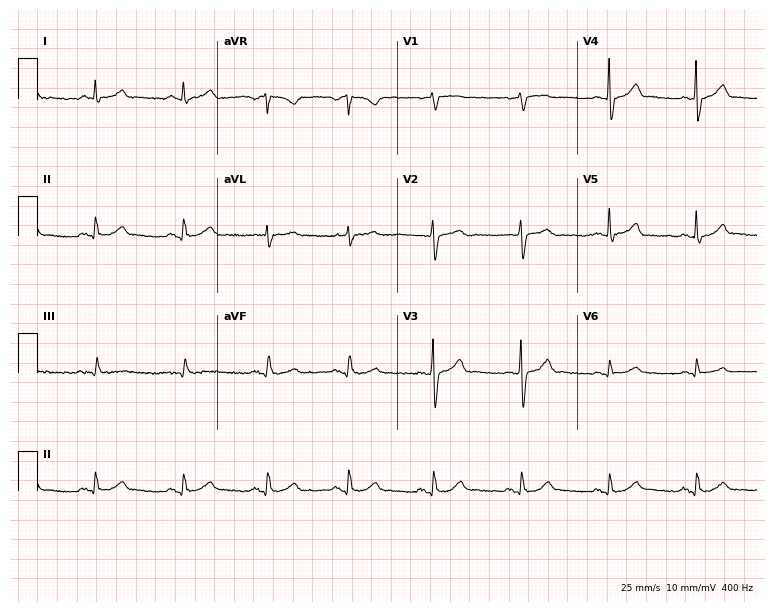
12-lead ECG from a man, 76 years old. Labelled as a normal ECG.